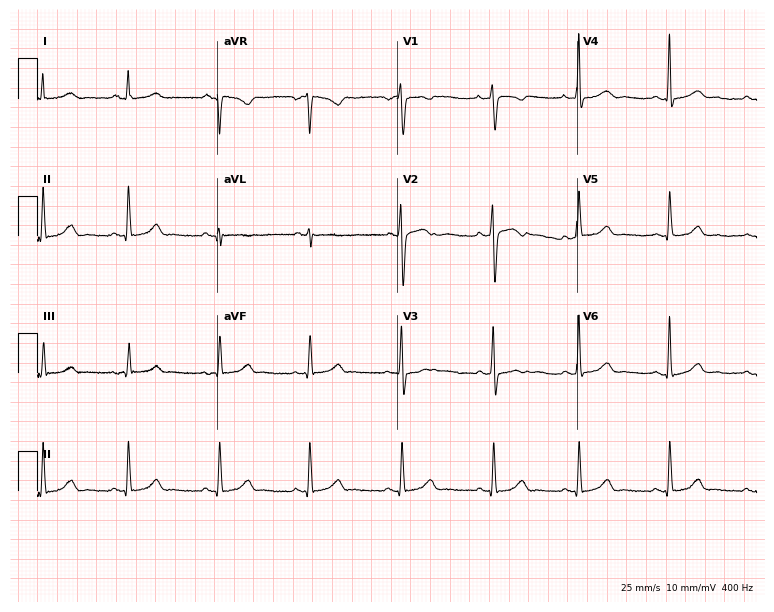
ECG (7.3-second recording at 400 Hz) — a female, 34 years old. Labelled as a normal ECG.